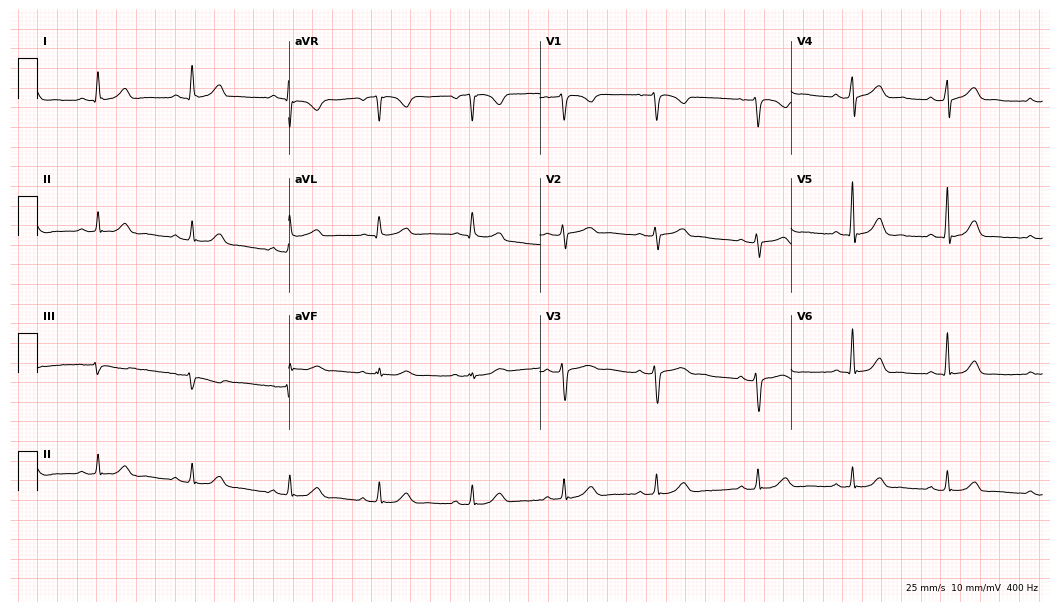
Standard 12-lead ECG recorded from a 38-year-old woman (10.2-second recording at 400 Hz). Read as a normal ECG.